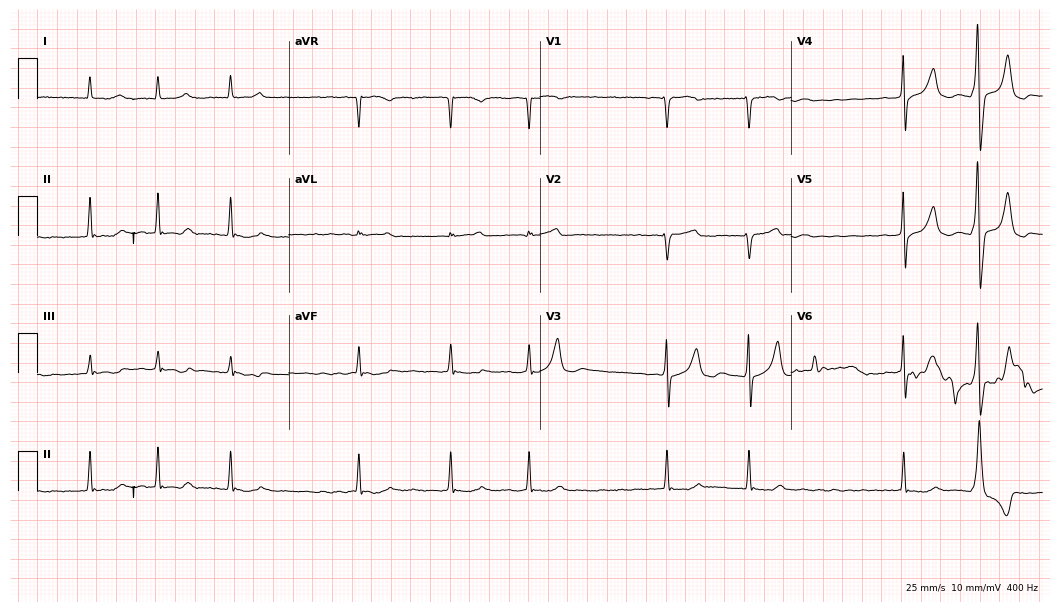
12-lead ECG (10.2-second recording at 400 Hz) from a 63-year-old man. Findings include atrial fibrillation.